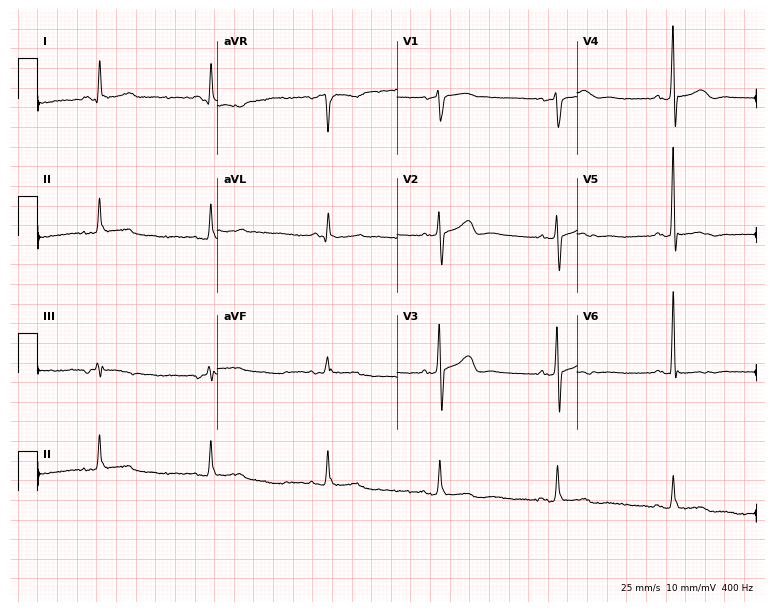
12-lead ECG from a 70-year-old male. No first-degree AV block, right bundle branch block, left bundle branch block, sinus bradycardia, atrial fibrillation or sinus tachycardia recorded for this tracing.